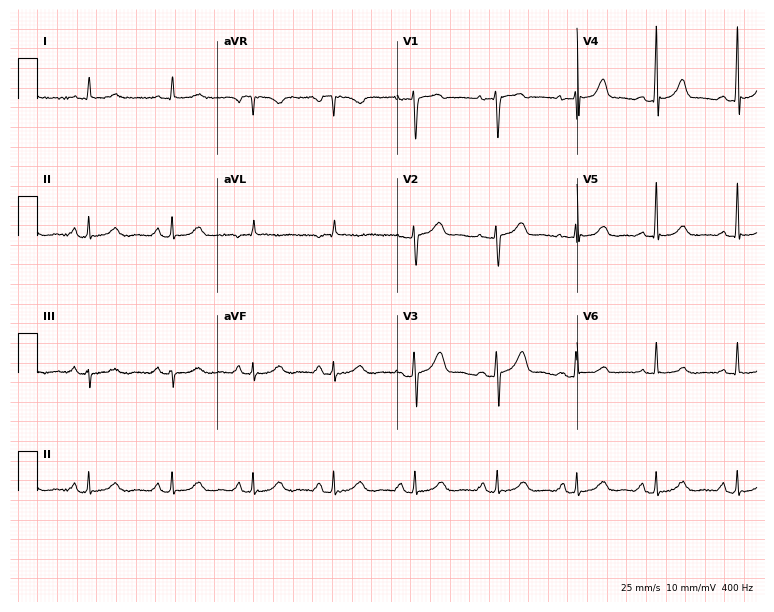
Standard 12-lead ECG recorded from a 53-year-old woman. None of these six findings is recorded: first-degree AV block, right bundle branch block (RBBB), left bundle branch block (LBBB), sinus bradycardia, atrial fibrillation (AF), sinus tachycardia. Only these six findings were labelled.